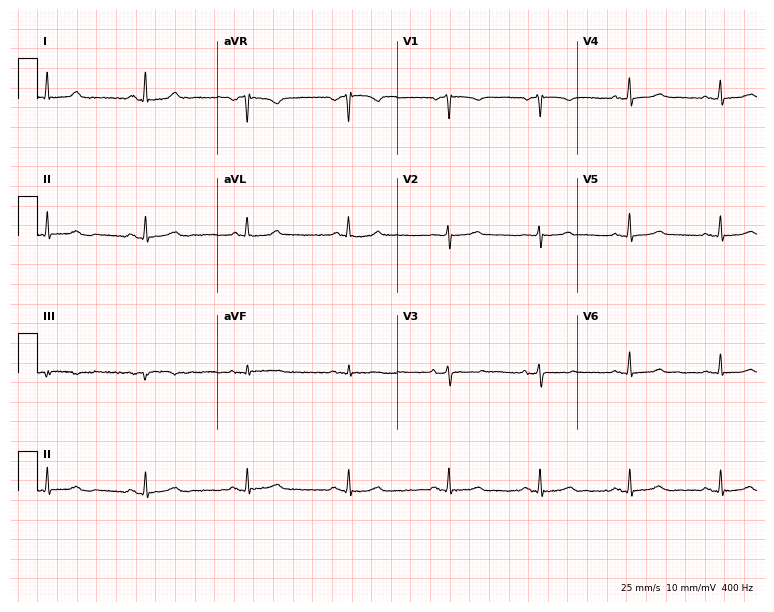
ECG (7.3-second recording at 400 Hz) — a female patient, 57 years old. Screened for six findings — first-degree AV block, right bundle branch block, left bundle branch block, sinus bradycardia, atrial fibrillation, sinus tachycardia — none is recorded.